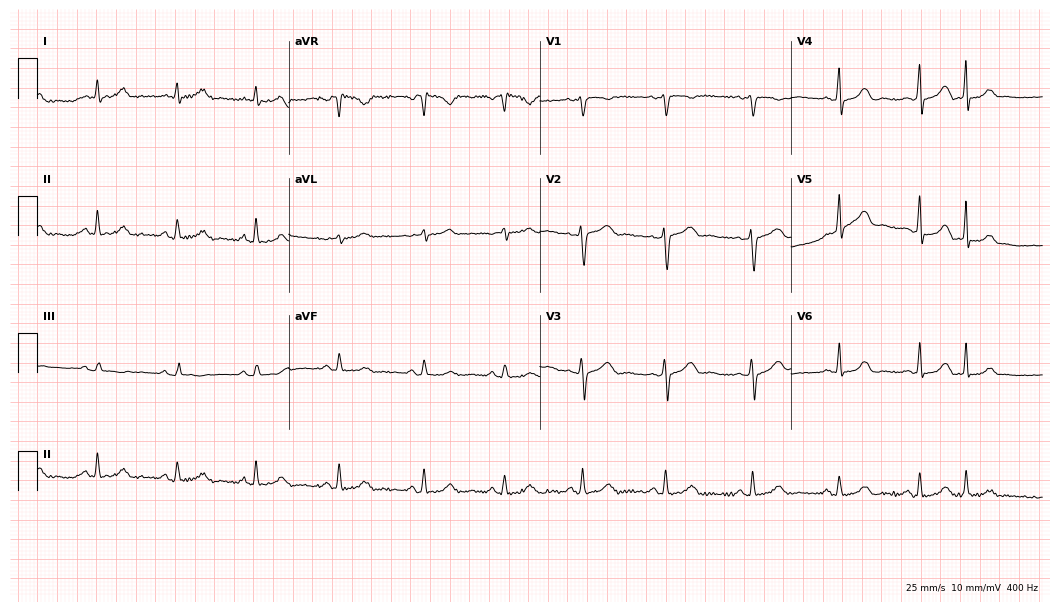
ECG — a woman, 49 years old. Labelled as a normal ECG.